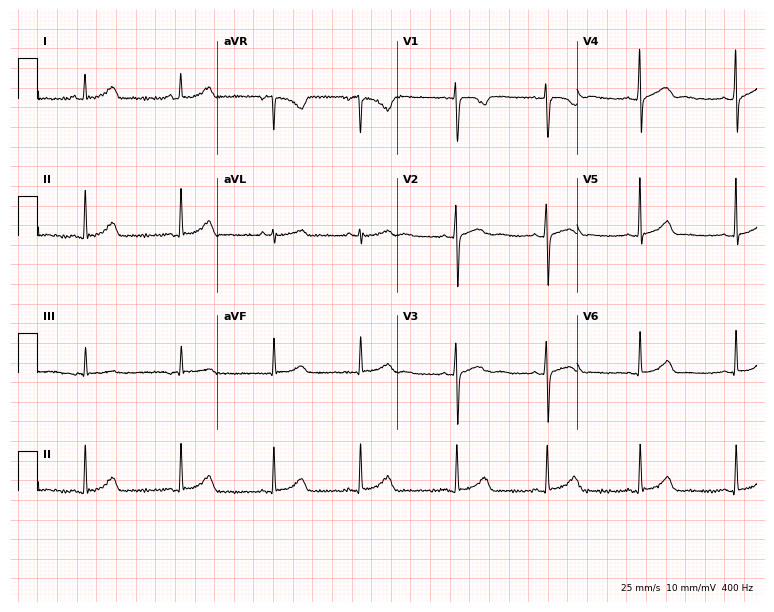
Resting 12-lead electrocardiogram (7.3-second recording at 400 Hz). Patient: a female, 19 years old. Read as a normal ECG.